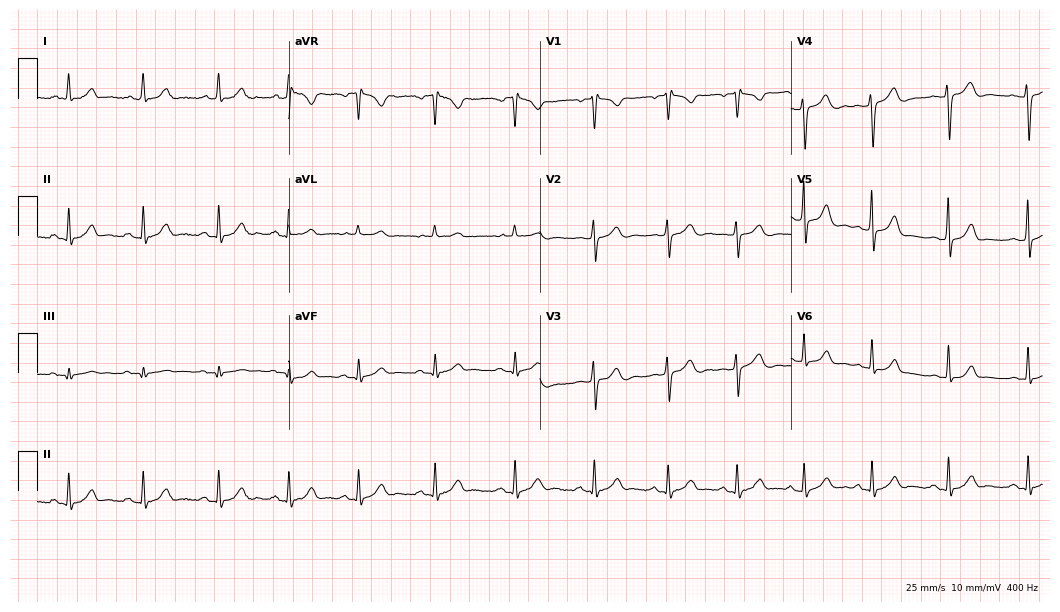
12-lead ECG from a 24-year-old female. Labelled as a normal ECG.